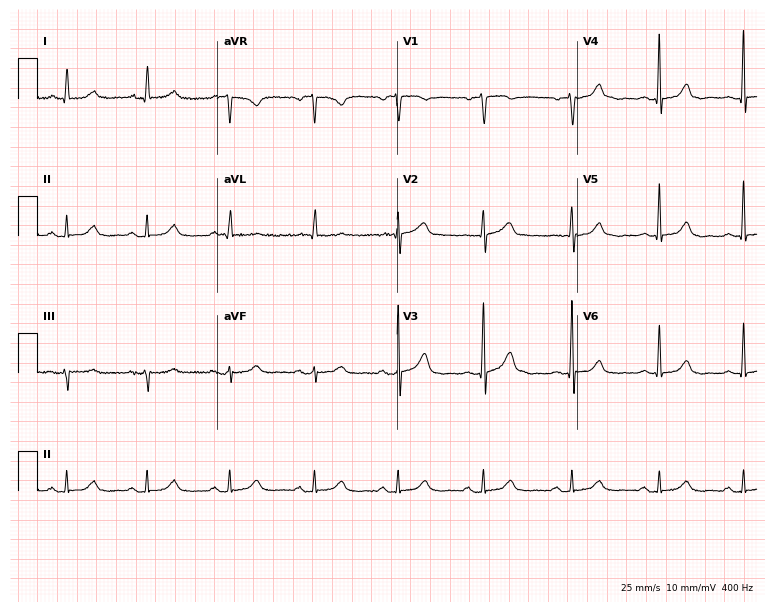
Standard 12-lead ECG recorded from a 70-year-old female patient. Read as a normal ECG.